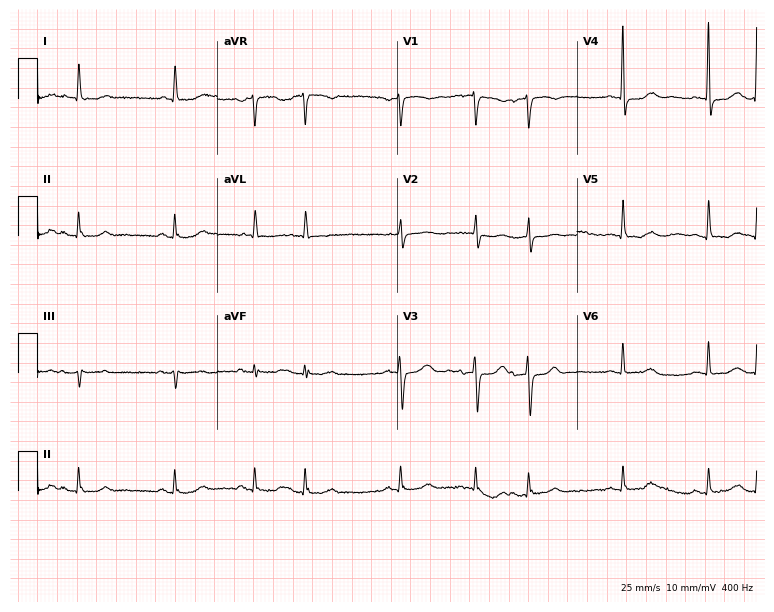
Standard 12-lead ECG recorded from a female, 82 years old. None of these six findings is recorded: first-degree AV block, right bundle branch block, left bundle branch block, sinus bradycardia, atrial fibrillation, sinus tachycardia. Other findings, if any, are not listed.